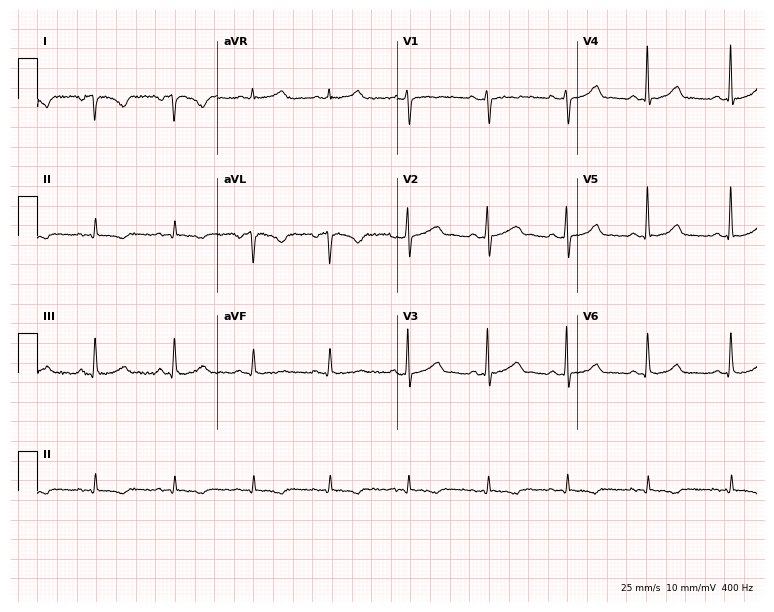
12-lead ECG (7.3-second recording at 400 Hz) from a 32-year-old woman. Screened for six findings — first-degree AV block, right bundle branch block (RBBB), left bundle branch block (LBBB), sinus bradycardia, atrial fibrillation (AF), sinus tachycardia — none is recorded.